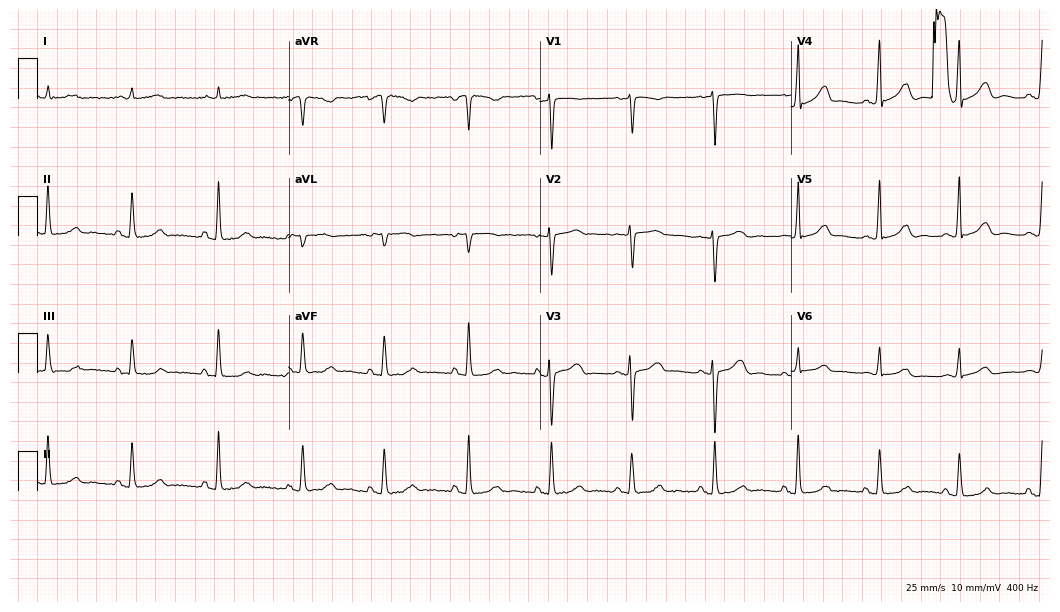
12-lead ECG from a 68-year-old female. No first-degree AV block, right bundle branch block (RBBB), left bundle branch block (LBBB), sinus bradycardia, atrial fibrillation (AF) or sinus tachycardia recorded for this tracing. Other findings, if any, are not listed.